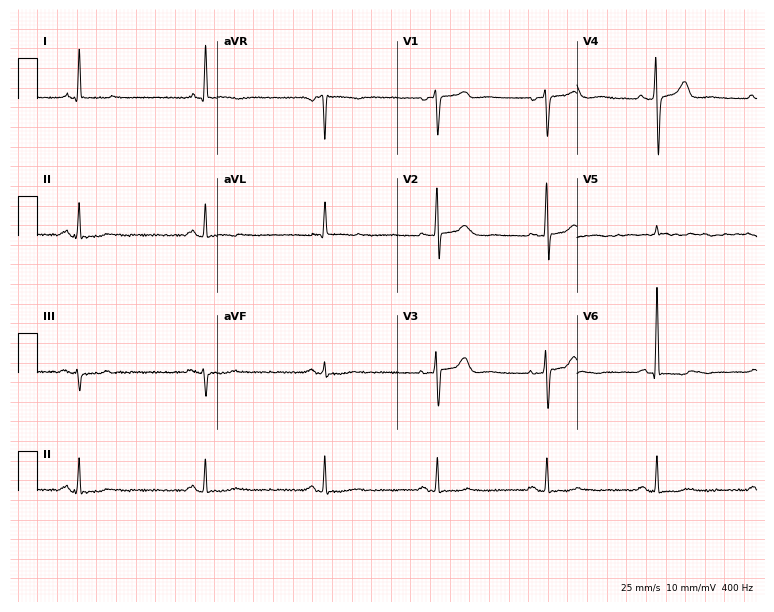
Standard 12-lead ECG recorded from a 73-year-old man (7.3-second recording at 400 Hz). None of these six findings is recorded: first-degree AV block, right bundle branch block (RBBB), left bundle branch block (LBBB), sinus bradycardia, atrial fibrillation (AF), sinus tachycardia.